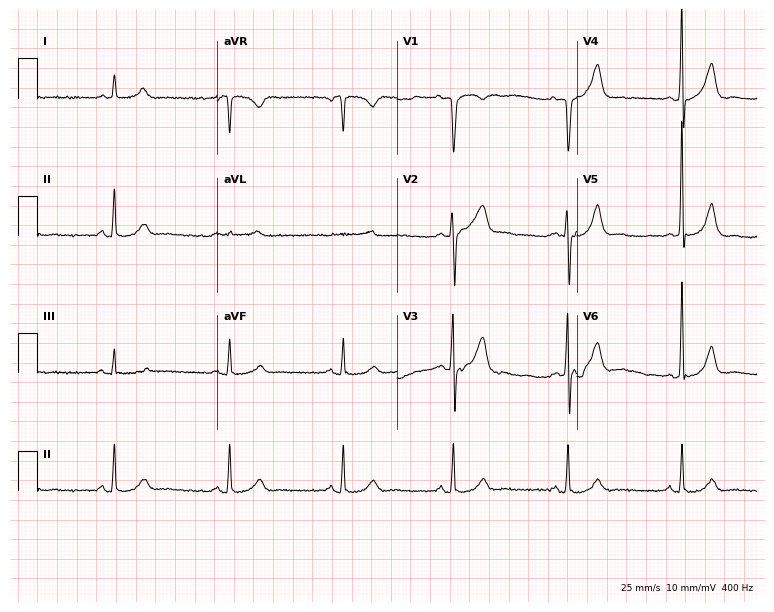
ECG — a male, 61 years old. Screened for six findings — first-degree AV block, right bundle branch block, left bundle branch block, sinus bradycardia, atrial fibrillation, sinus tachycardia — none is recorded.